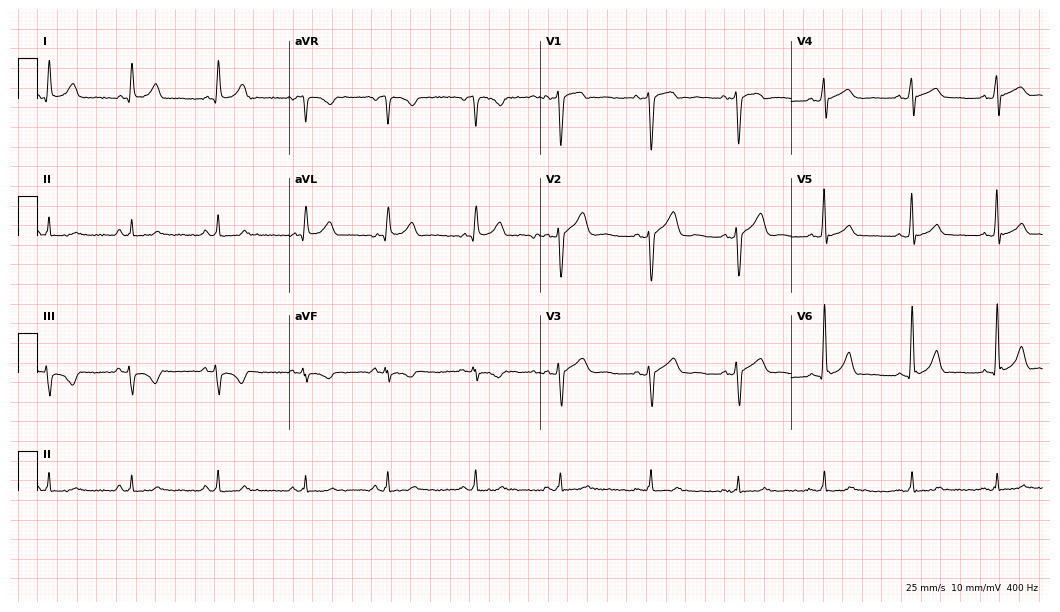
12-lead ECG from a male, 32 years old. No first-degree AV block, right bundle branch block (RBBB), left bundle branch block (LBBB), sinus bradycardia, atrial fibrillation (AF) or sinus tachycardia recorded for this tracing. Findings outside these six are not listed.